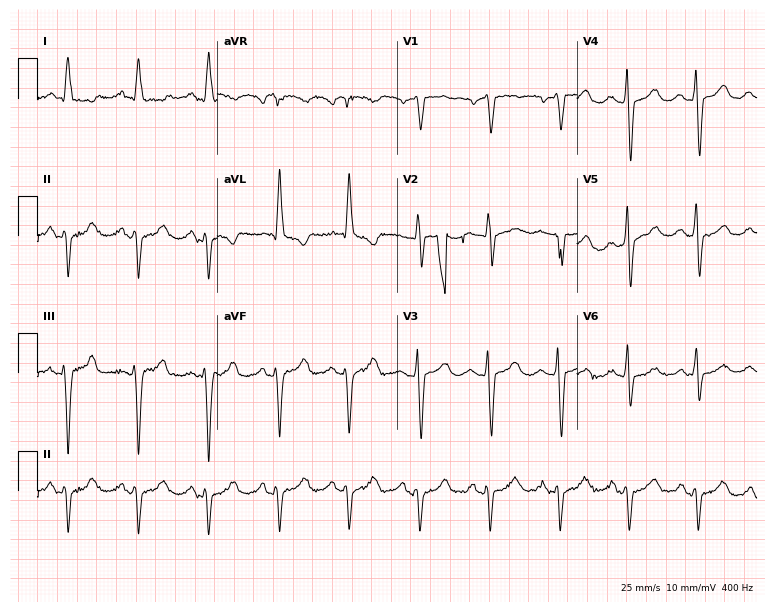
Electrocardiogram, a female, 56 years old. Of the six screened findings (first-degree AV block, right bundle branch block (RBBB), left bundle branch block (LBBB), sinus bradycardia, atrial fibrillation (AF), sinus tachycardia), none is recorded.